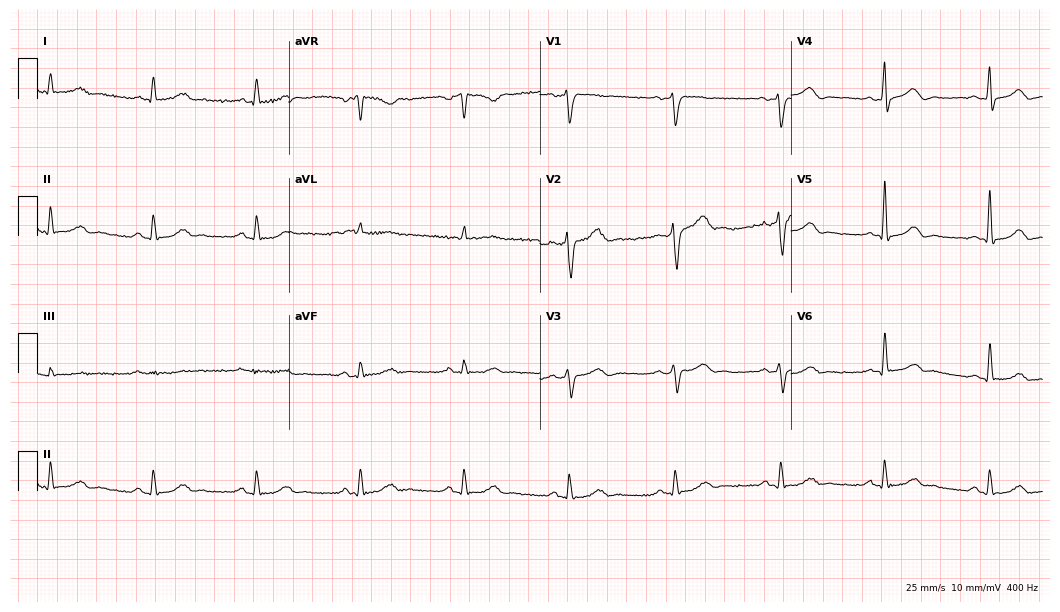
Standard 12-lead ECG recorded from a 64-year-old male. None of these six findings is recorded: first-degree AV block, right bundle branch block (RBBB), left bundle branch block (LBBB), sinus bradycardia, atrial fibrillation (AF), sinus tachycardia. Findings outside these six are not listed.